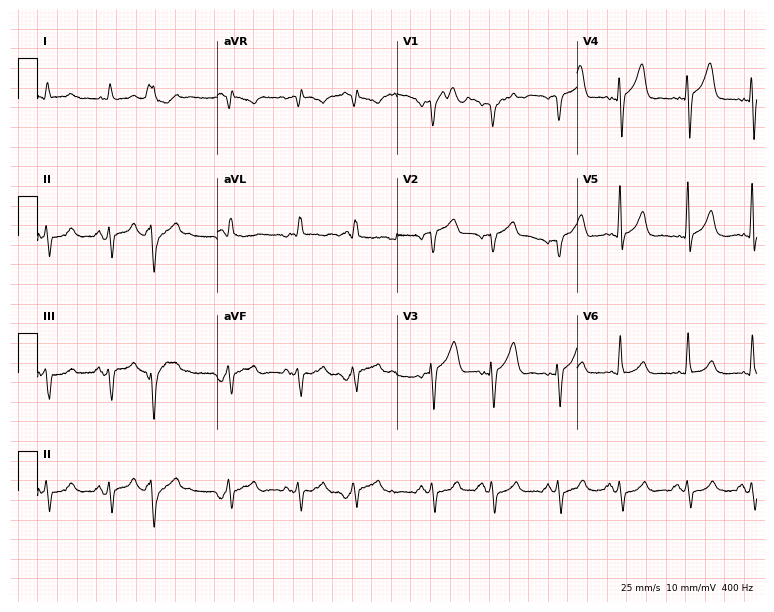
Resting 12-lead electrocardiogram. Patient: a male, 78 years old. None of these six findings is recorded: first-degree AV block, right bundle branch block (RBBB), left bundle branch block (LBBB), sinus bradycardia, atrial fibrillation (AF), sinus tachycardia. Other findings, if any, are not listed.